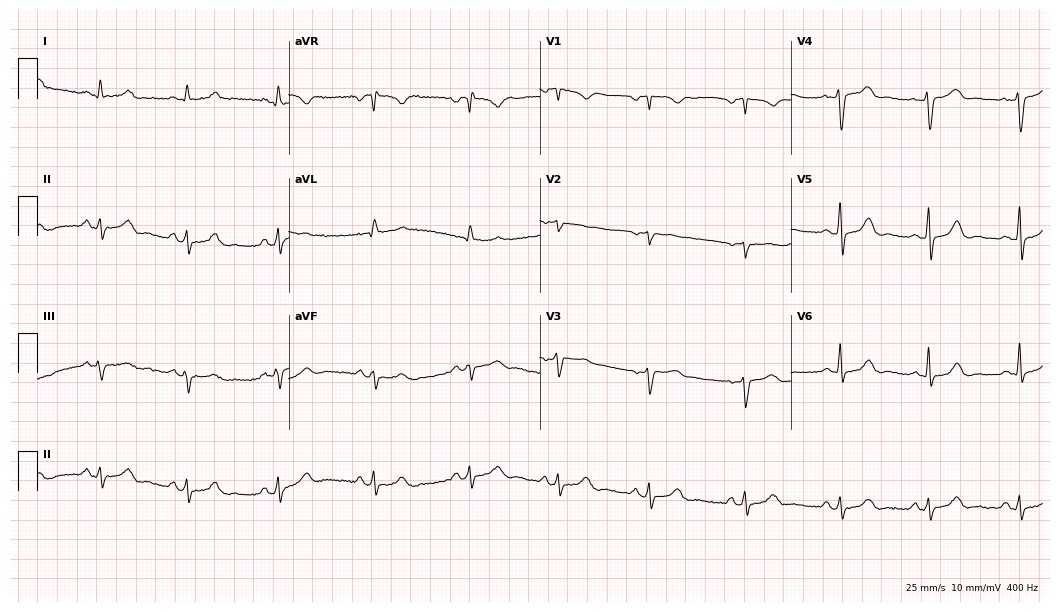
Resting 12-lead electrocardiogram. Patient: a female, 41 years old. Read as a normal ECG.